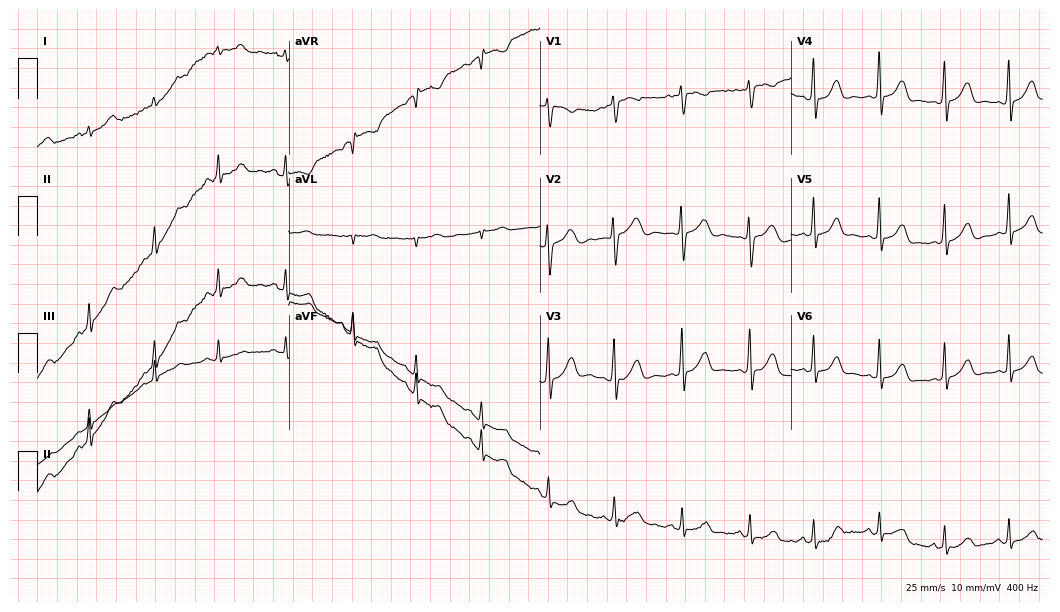
12-lead ECG from a female patient, 19 years old (10.2-second recording at 400 Hz). Recorded interpretation: within normal limits.